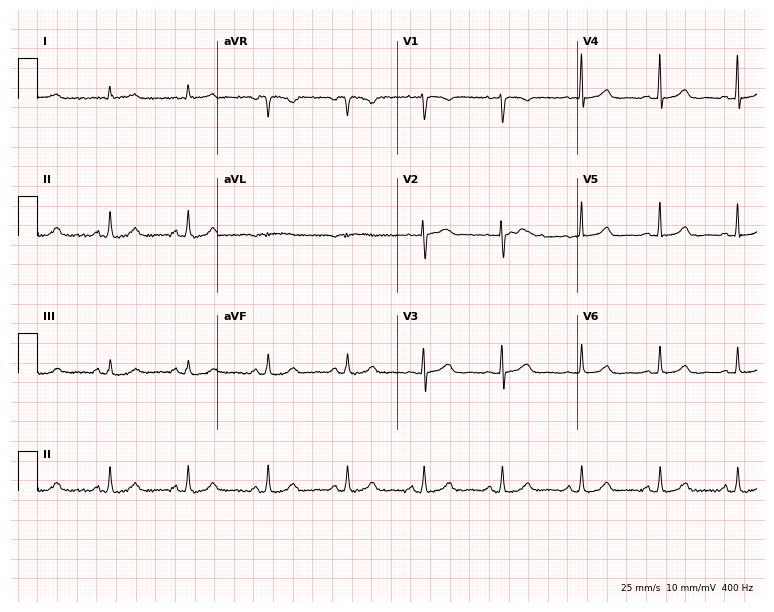
12-lead ECG from a female, 46 years old. Screened for six findings — first-degree AV block, right bundle branch block (RBBB), left bundle branch block (LBBB), sinus bradycardia, atrial fibrillation (AF), sinus tachycardia — none is recorded.